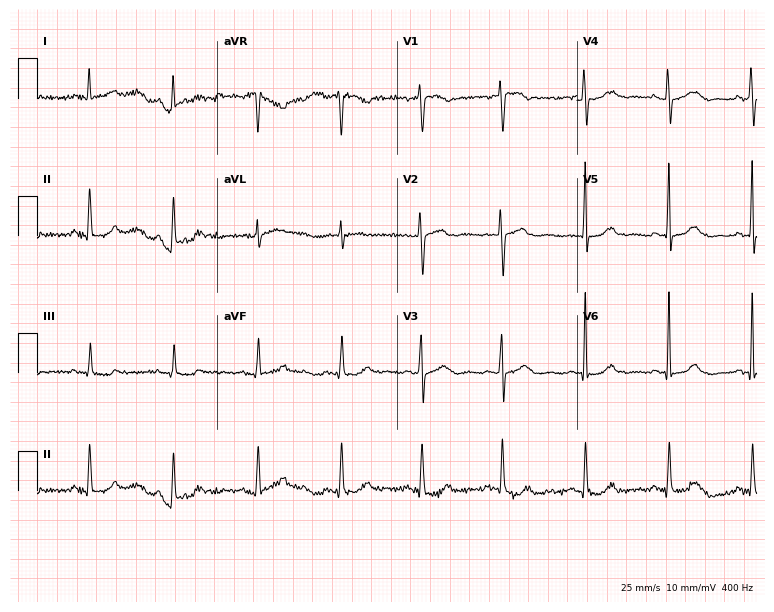
12-lead ECG from a male patient, 52 years old. Recorded interpretation: within normal limits.